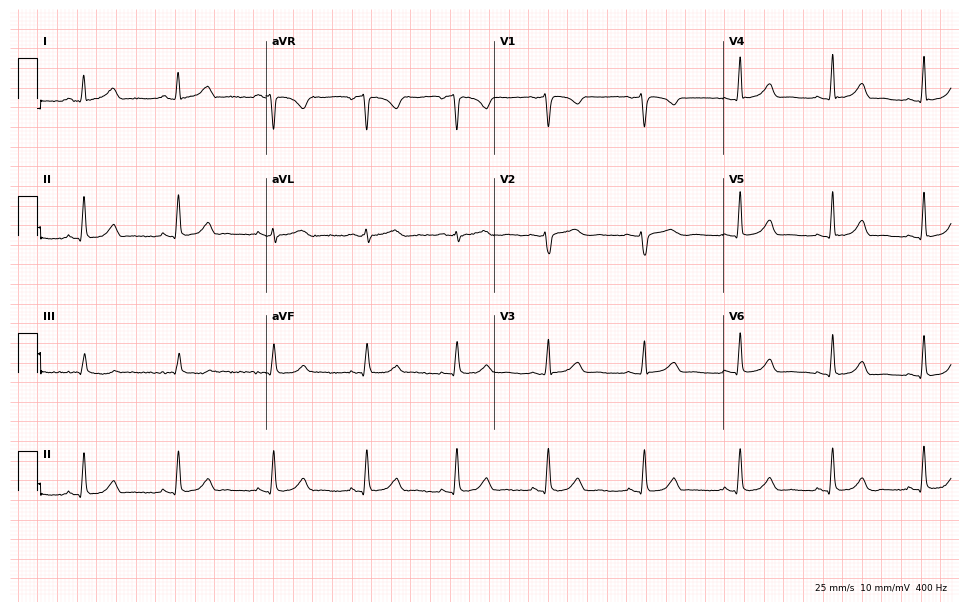
Electrocardiogram (9.3-second recording at 400 Hz), a male patient, 47 years old. Overall reading on record: normal ECG.